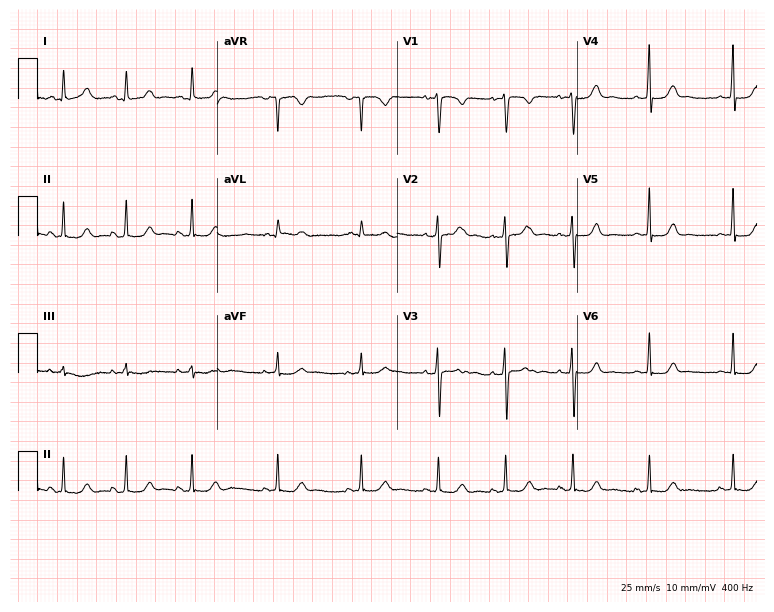
12-lead ECG from a 19-year-old woman. No first-degree AV block, right bundle branch block, left bundle branch block, sinus bradycardia, atrial fibrillation or sinus tachycardia recorded for this tracing.